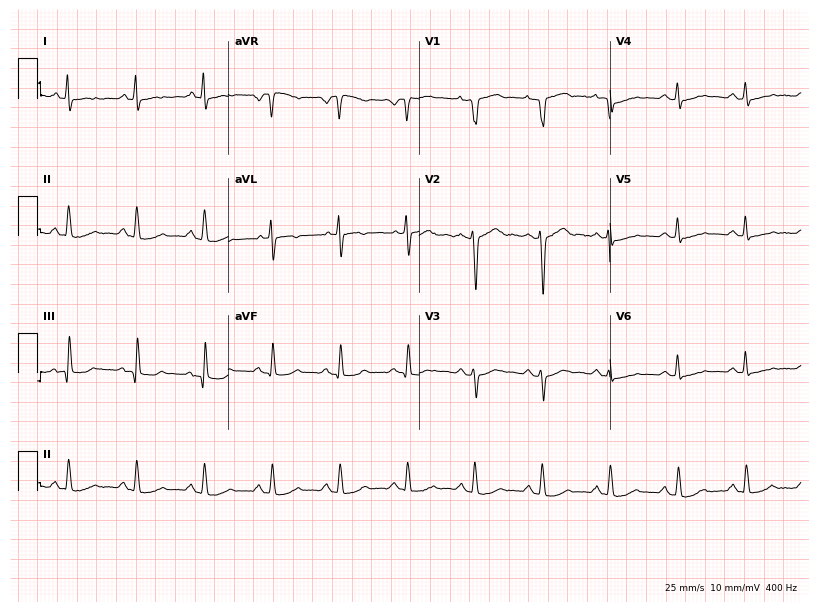
Electrocardiogram, a 62-year-old man. Of the six screened findings (first-degree AV block, right bundle branch block, left bundle branch block, sinus bradycardia, atrial fibrillation, sinus tachycardia), none is recorded.